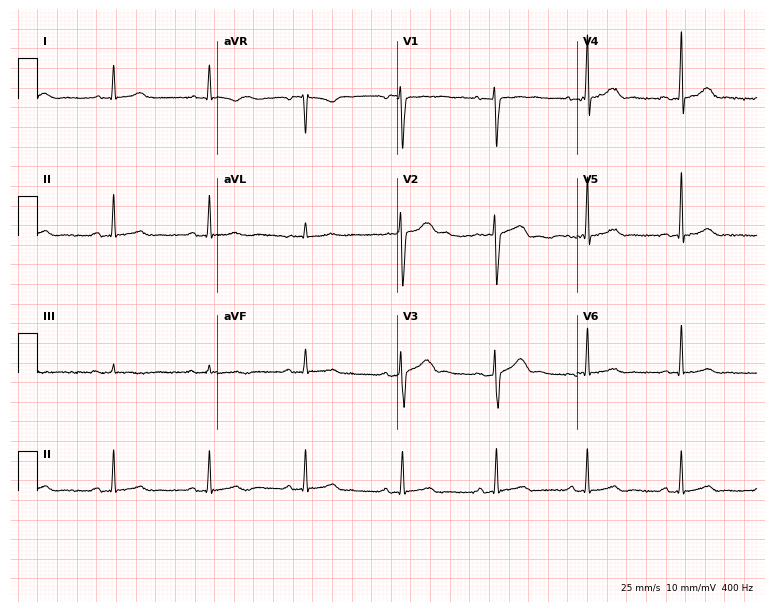
12-lead ECG from a 34-year-old male. Labelled as a normal ECG.